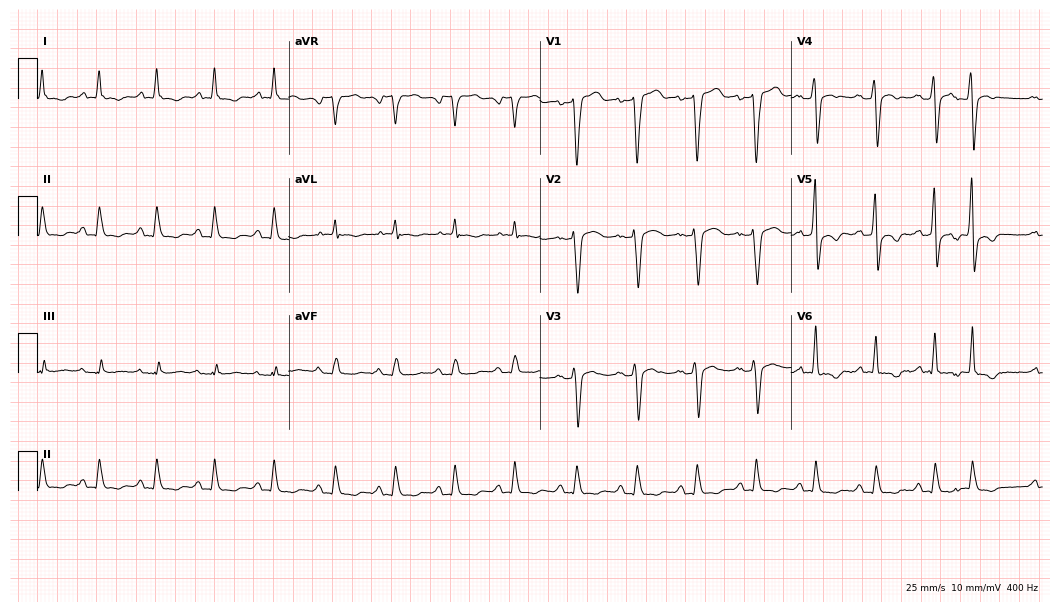
ECG — a 64-year-old man. Screened for six findings — first-degree AV block, right bundle branch block (RBBB), left bundle branch block (LBBB), sinus bradycardia, atrial fibrillation (AF), sinus tachycardia — none is recorded.